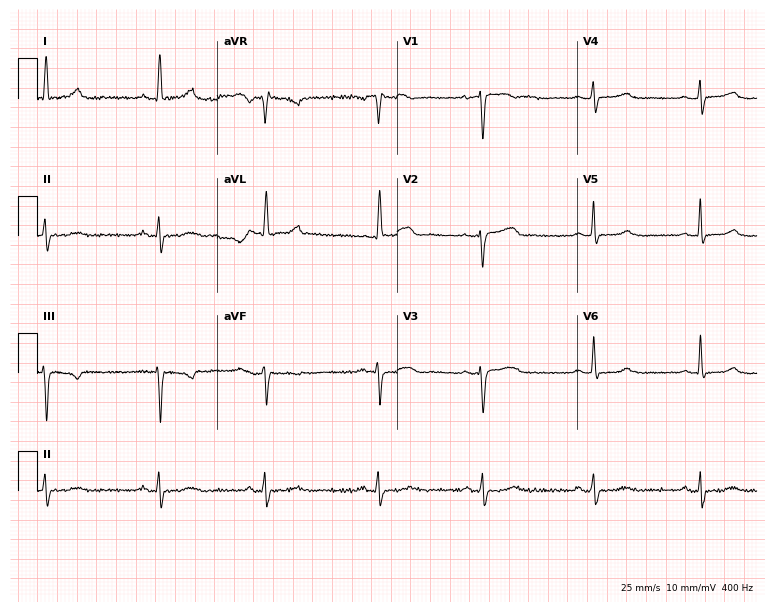
ECG (7.3-second recording at 400 Hz) — a 71-year-old female. Screened for six findings — first-degree AV block, right bundle branch block, left bundle branch block, sinus bradycardia, atrial fibrillation, sinus tachycardia — none is recorded. Findings outside these six are not listed.